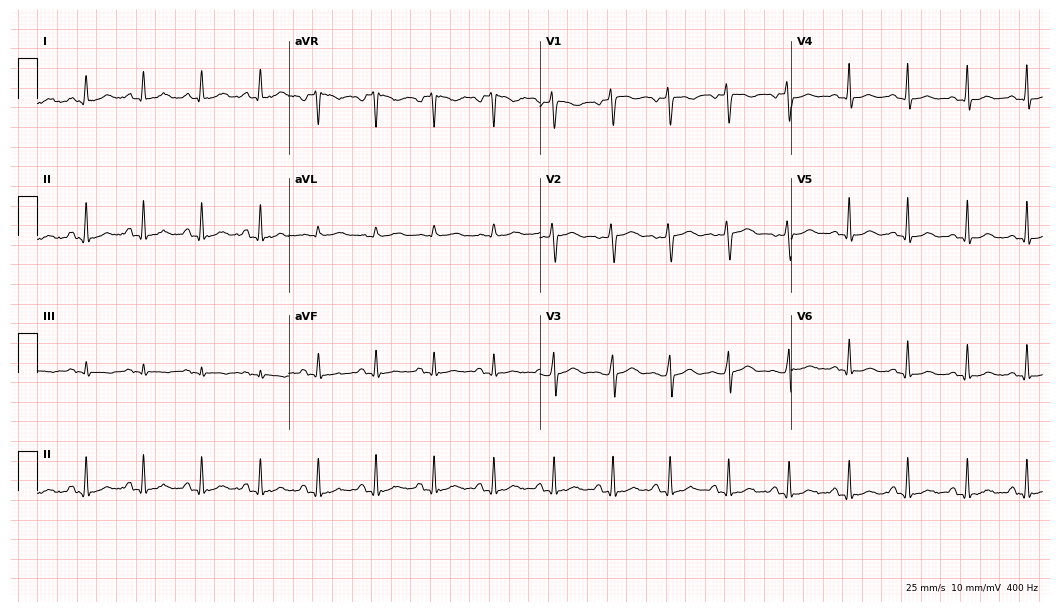
Electrocardiogram (10.2-second recording at 400 Hz), a woman, 19 years old. Overall reading on record: normal ECG.